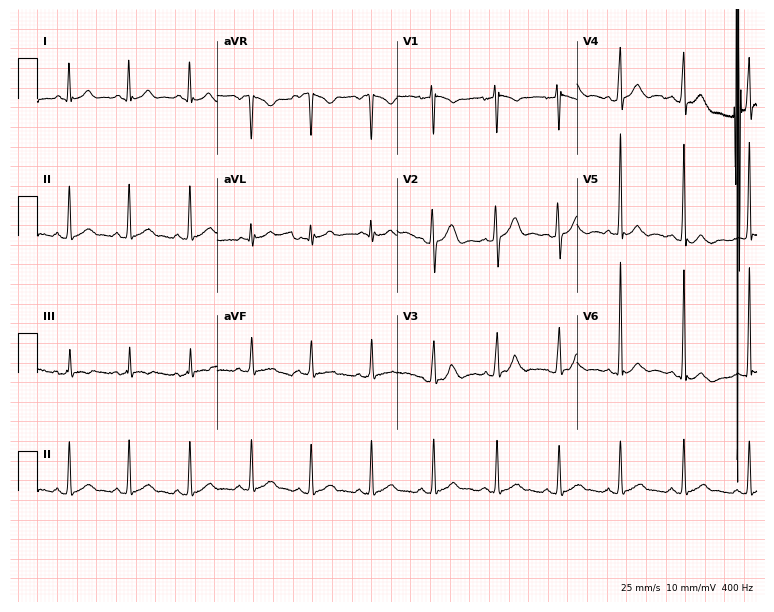
Standard 12-lead ECG recorded from a 21-year-old man (7.3-second recording at 400 Hz). Read as a normal ECG.